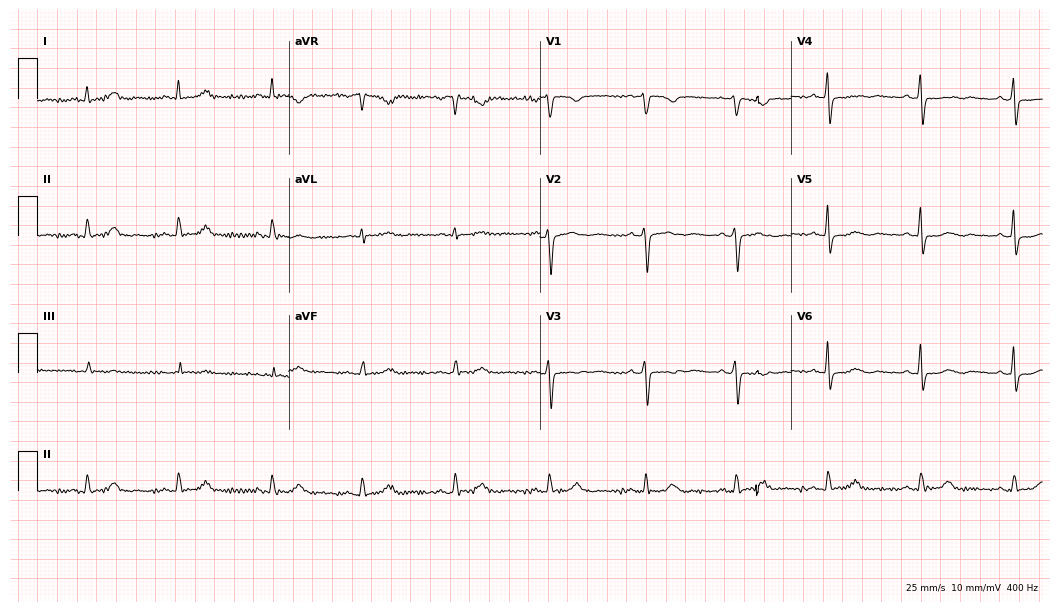
Standard 12-lead ECG recorded from a 52-year-old female. Read as a normal ECG.